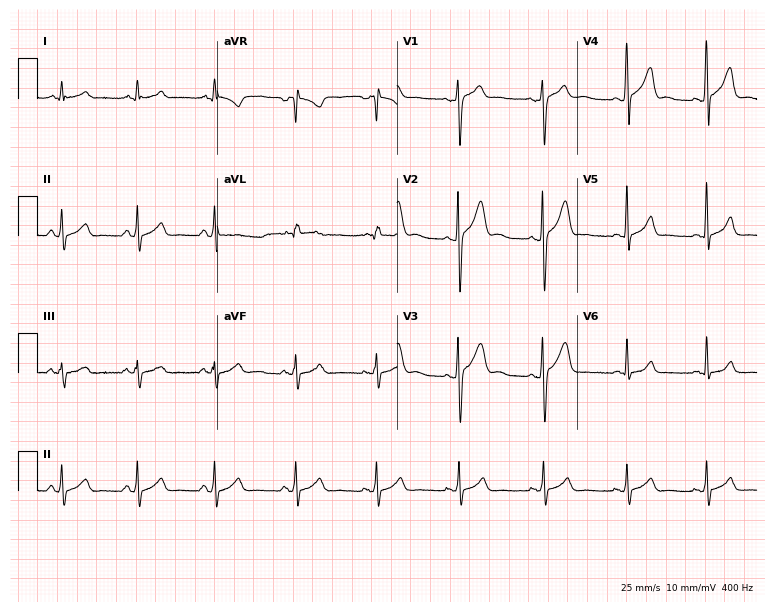
12-lead ECG from a 27-year-old man (7.3-second recording at 400 Hz). Recorded interpretation: within normal limits.